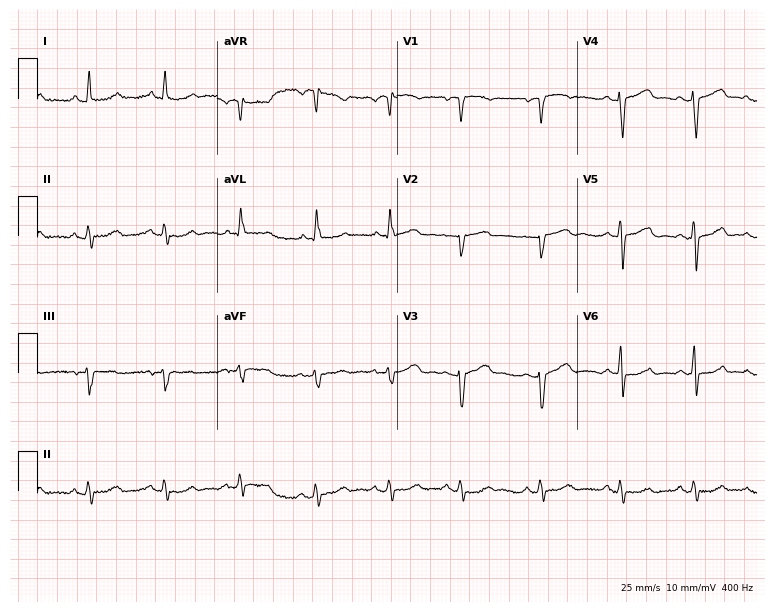
12-lead ECG (7.3-second recording at 400 Hz) from a 71-year-old female. Screened for six findings — first-degree AV block, right bundle branch block, left bundle branch block, sinus bradycardia, atrial fibrillation, sinus tachycardia — none is recorded. Other findings, if any, are not listed.